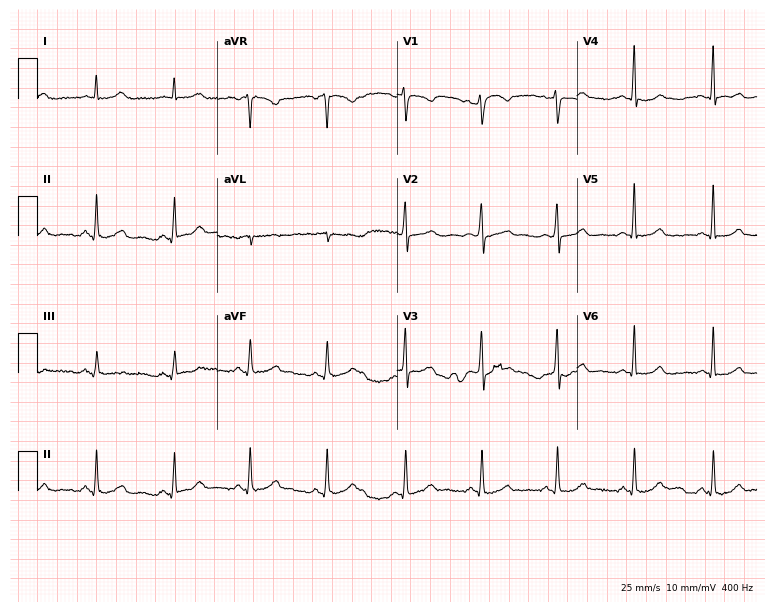
Standard 12-lead ECG recorded from a 40-year-old woman (7.3-second recording at 400 Hz). None of these six findings is recorded: first-degree AV block, right bundle branch block, left bundle branch block, sinus bradycardia, atrial fibrillation, sinus tachycardia.